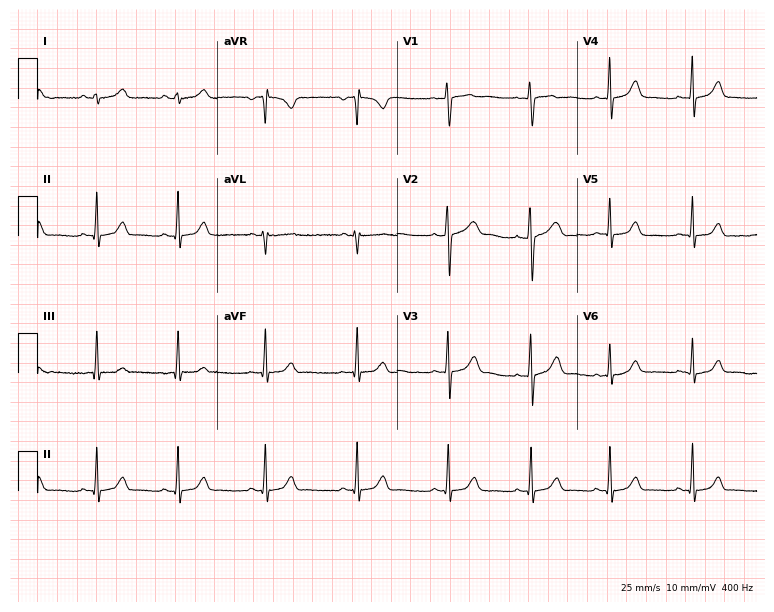
12-lead ECG from a female, 30 years old. Labelled as a normal ECG.